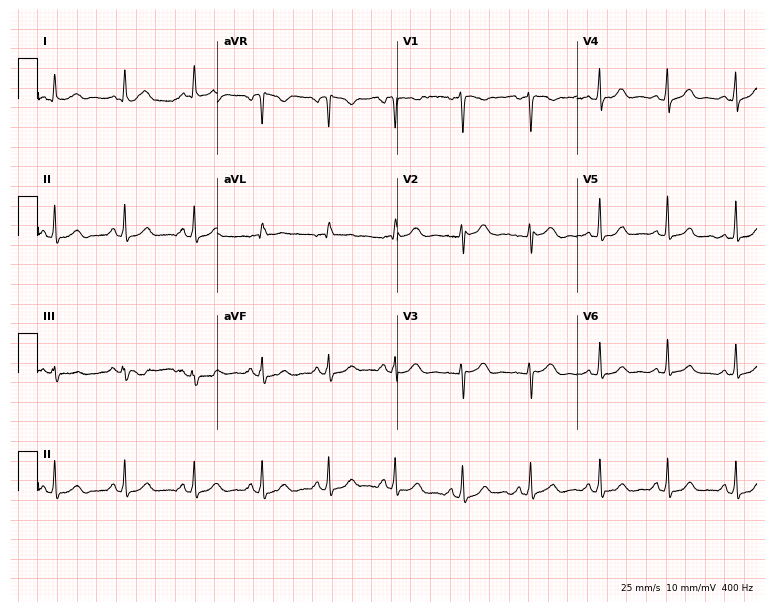
Electrocardiogram, a female patient, 28 years old. Overall reading on record: normal ECG.